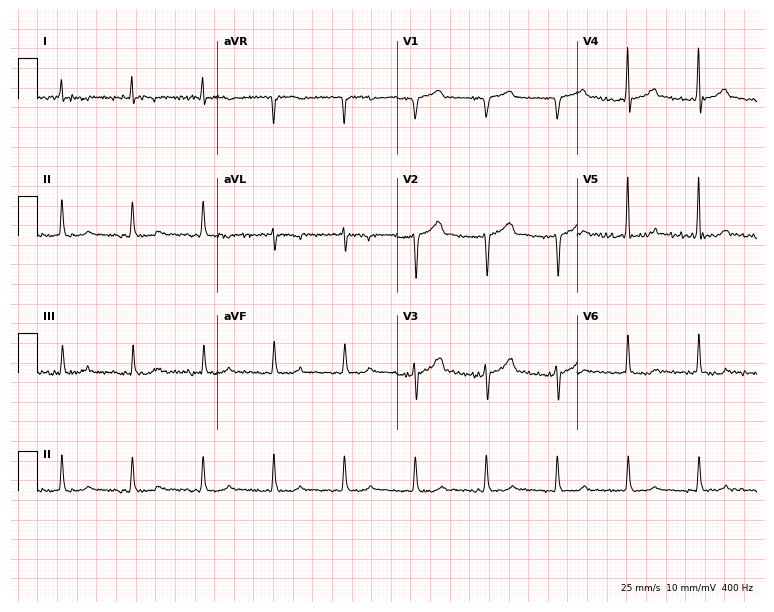
Resting 12-lead electrocardiogram. Patient: a male, 85 years old. Read as a normal ECG.